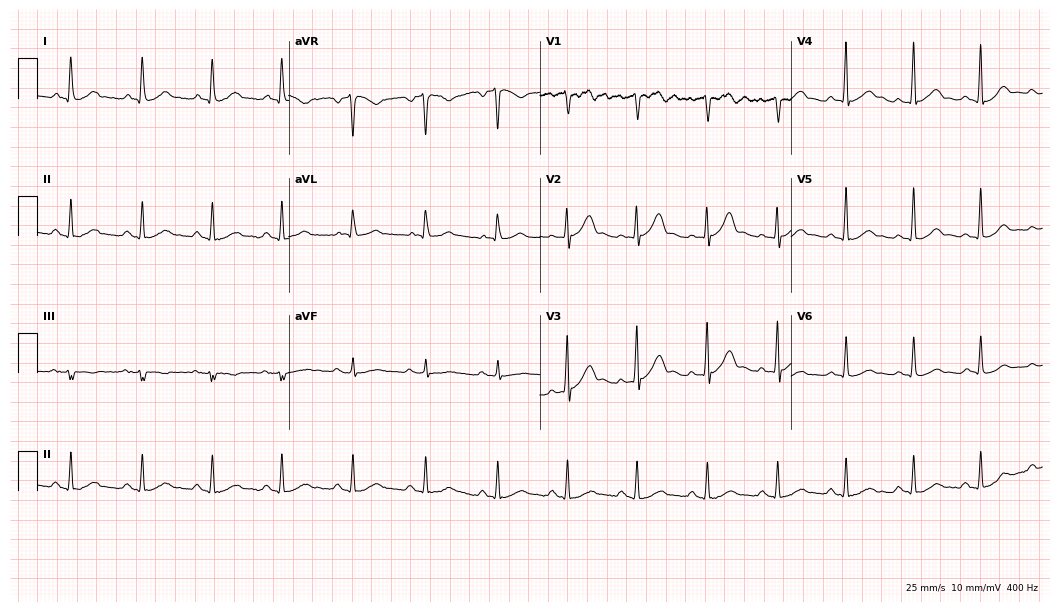
Electrocardiogram, a 49-year-old man. Overall reading on record: normal ECG.